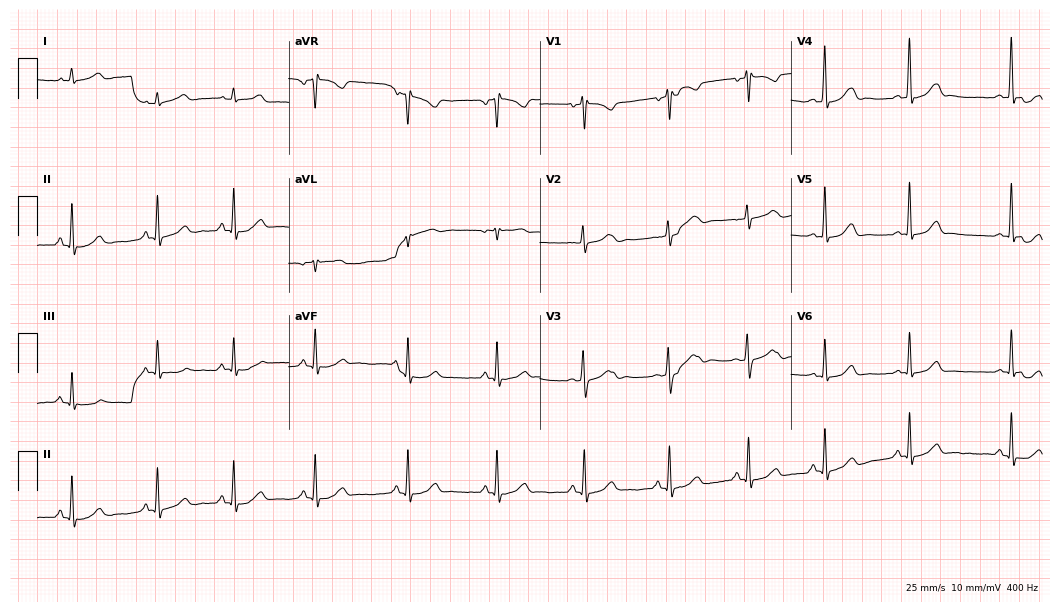
12-lead ECG (10.2-second recording at 400 Hz) from a woman, 24 years old. Screened for six findings — first-degree AV block, right bundle branch block, left bundle branch block, sinus bradycardia, atrial fibrillation, sinus tachycardia — none is recorded. Other findings, if any, are not listed.